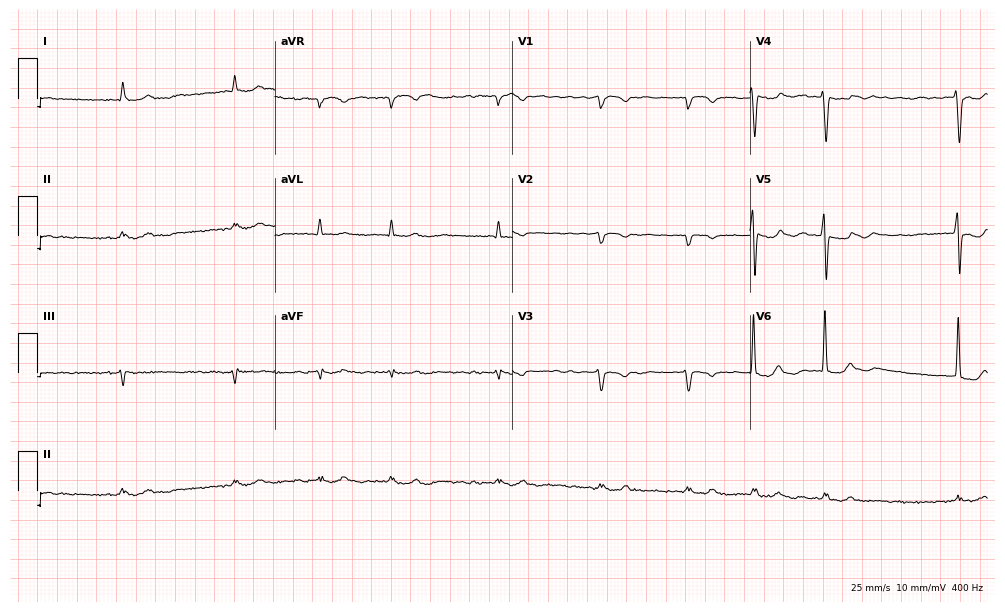
Standard 12-lead ECG recorded from a man, 85 years old. The tracing shows atrial fibrillation (AF).